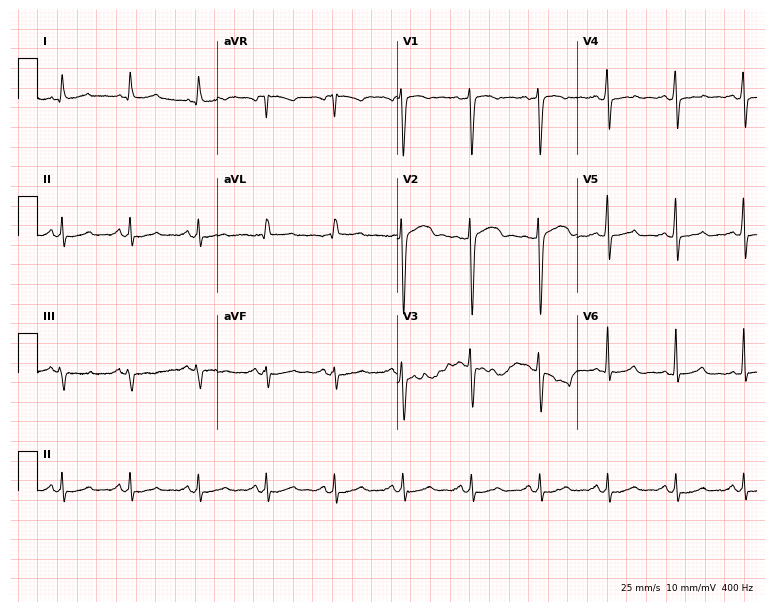
ECG (7.3-second recording at 400 Hz) — a man, 40 years old. Labelled as a normal ECG.